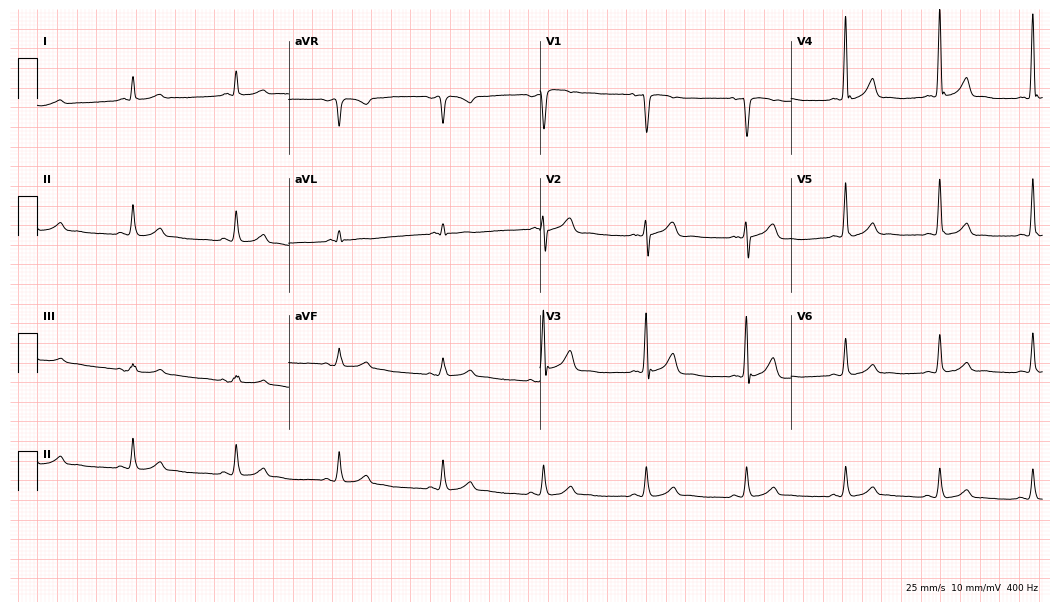
Standard 12-lead ECG recorded from a male, 50 years old. Read as a normal ECG.